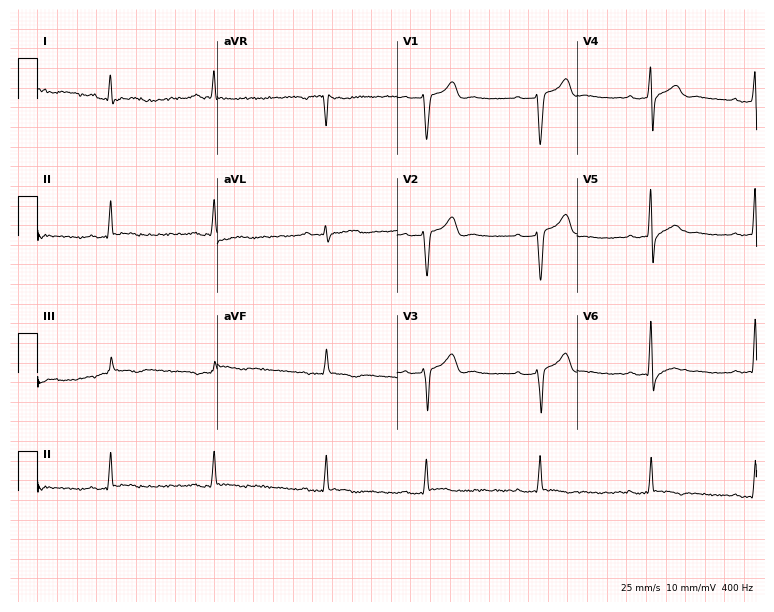
Electrocardiogram (7.3-second recording at 400 Hz), a 37-year-old man. Of the six screened findings (first-degree AV block, right bundle branch block, left bundle branch block, sinus bradycardia, atrial fibrillation, sinus tachycardia), none is recorded. Findings outside these six are not listed.